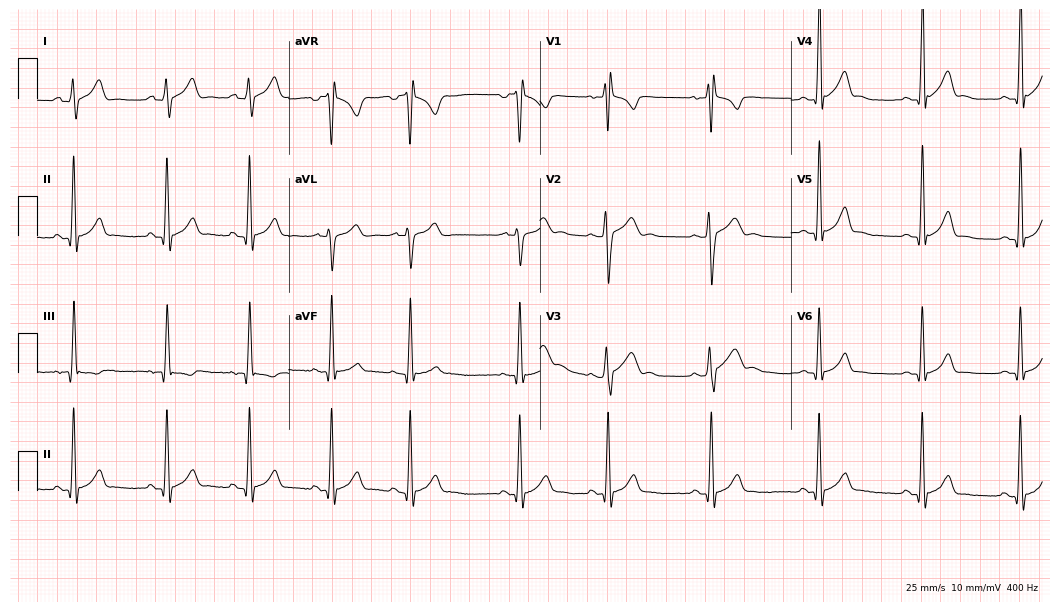
Electrocardiogram (10.2-second recording at 400 Hz), an 18-year-old female. Of the six screened findings (first-degree AV block, right bundle branch block, left bundle branch block, sinus bradycardia, atrial fibrillation, sinus tachycardia), none is recorded. Other findings, if any, are not listed.